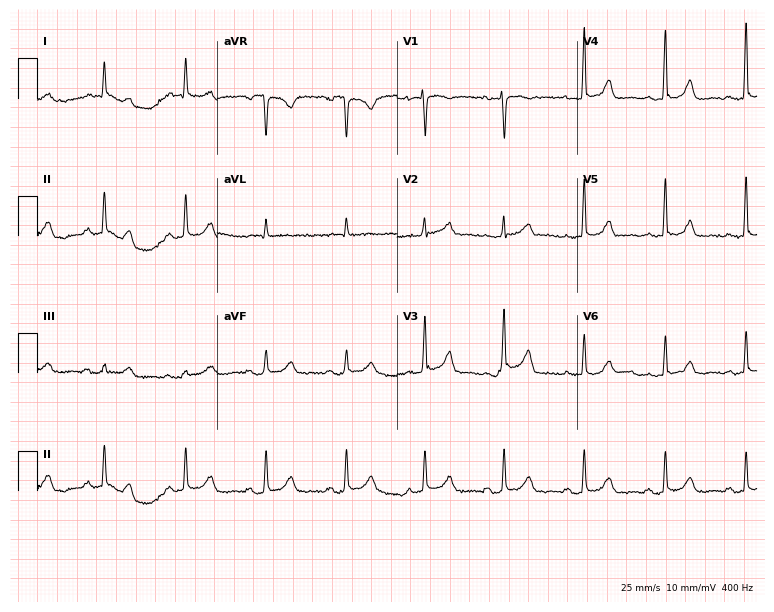
12-lead ECG from a female patient, 52 years old (7.3-second recording at 400 Hz). No first-degree AV block, right bundle branch block, left bundle branch block, sinus bradycardia, atrial fibrillation or sinus tachycardia recorded for this tracing.